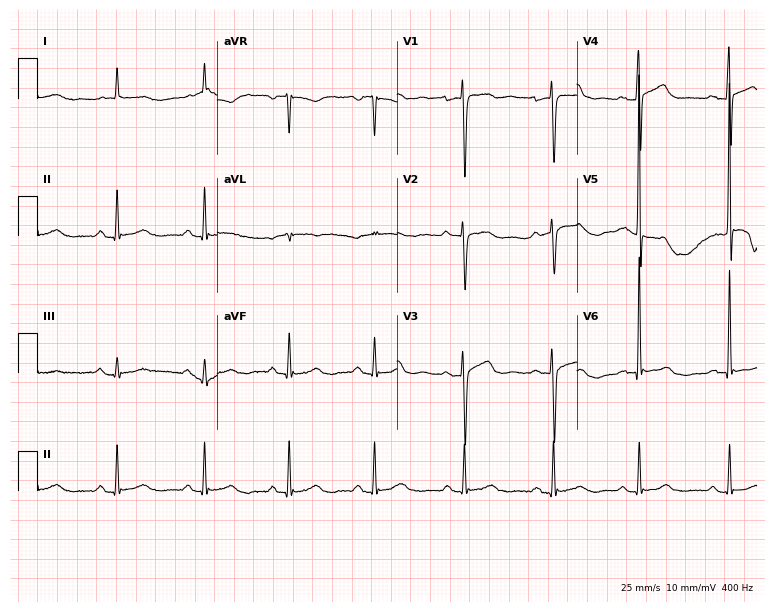
12-lead ECG from a female patient, 69 years old. No first-degree AV block, right bundle branch block, left bundle branch block, sinus bradycardia, atrial fibrillation or sinus tachycardia recorded for this tracing. Other findings, if any, are not listed.